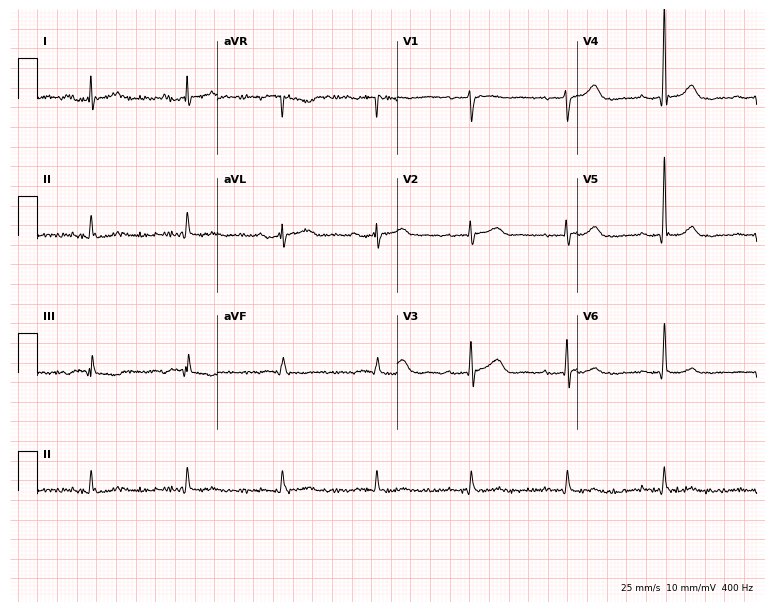
12-lead ECG from an 82-year-old man. Shows first-degree AV block.